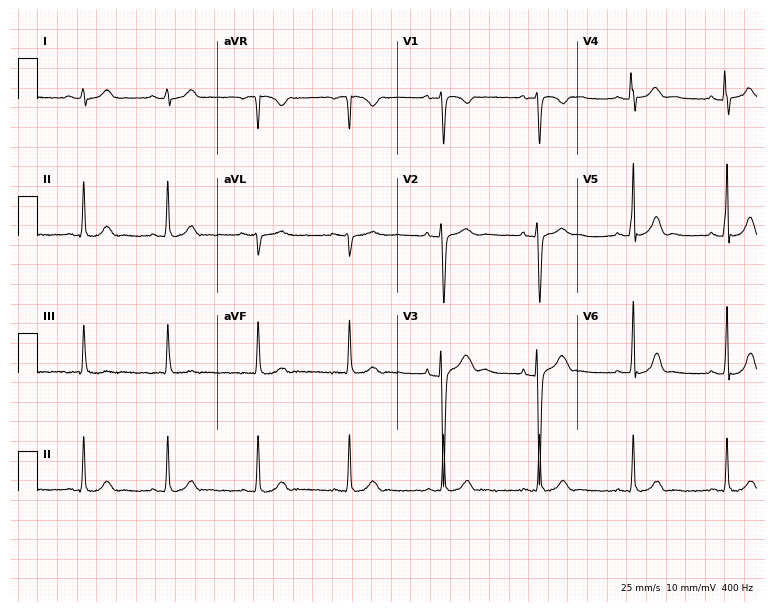
Resting 12-lead electrocardiogram. Patient: a 19-year-old female. None of these six findings is recorded: first-degree AV block, right bundle branch block (RBBB), left bundle branch block (LBBB), sinus bradycardia, atrial fibrillation (AF), sinus tachycardia. Findings outside these six are not listed.